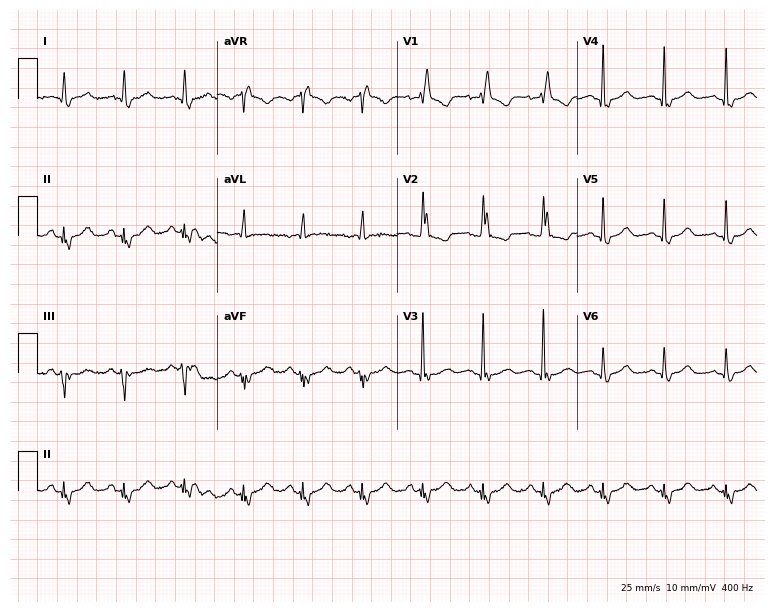
ECG (7.3-second recording at 400 Hz) — a female, 80 years old. Findings include right bundle branch block.